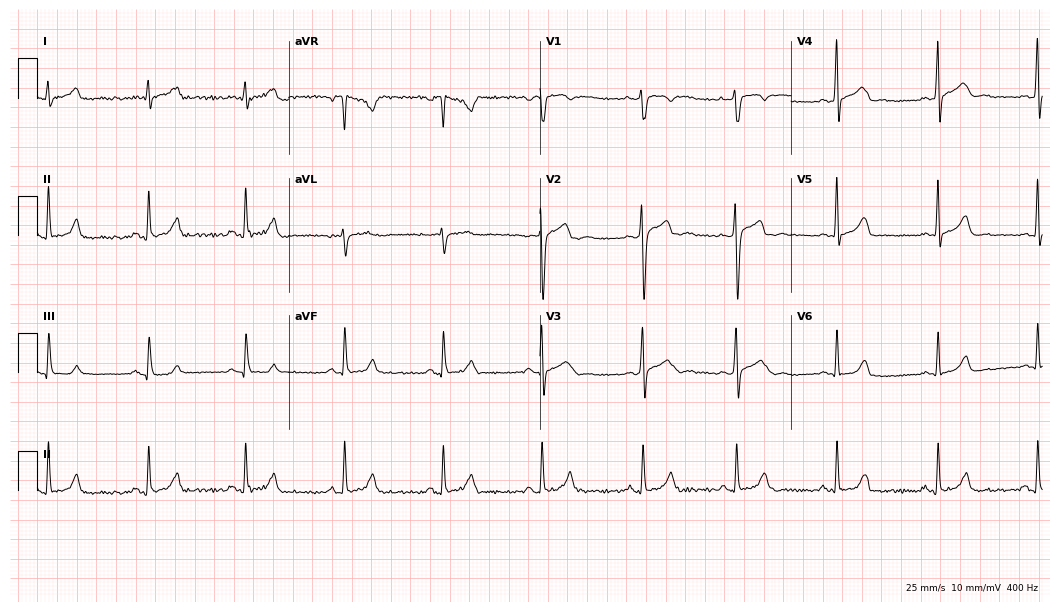
Electrocardiogram, a 22-year-old male patient. Of the six screened findings (first-degree AV block, right bundle branch block (RBBB), left bundle branch block (LBBB), sinus bradycardia, atrial fibrillation (AF), sinus tachycardia), none is recorded. Other findings, if any, are not listed.